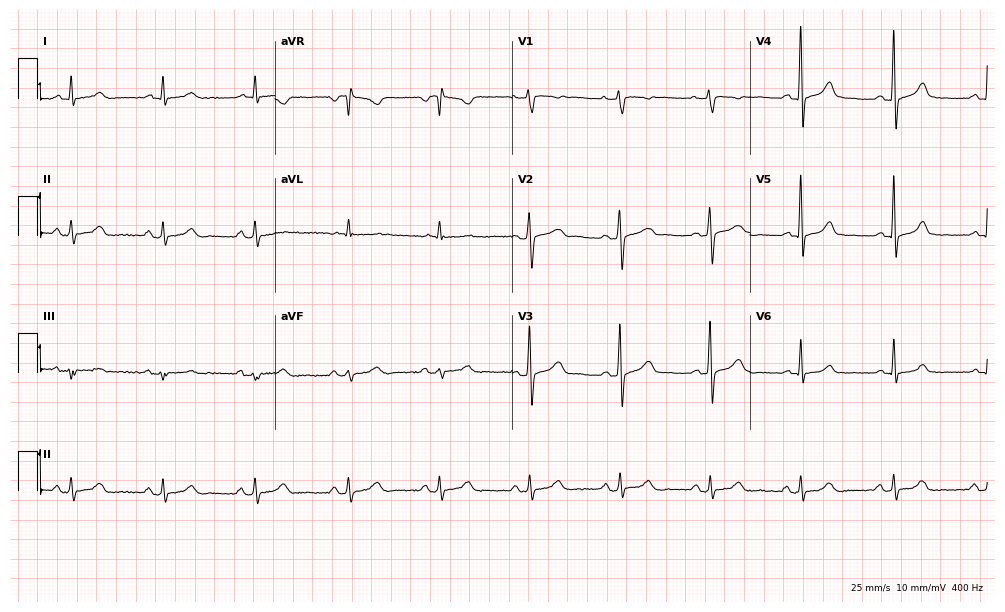
12-lead ECG (9.7-second recording at 400 Hz) from a female patient, 60 years old. Screened for six findings — first-degree AV block, right bundle branch block (RBBB), left bundle branch block (LBBB), sinus bradycardia, atrial fibrillation (AF), sinus tachycardia — none is recorded.